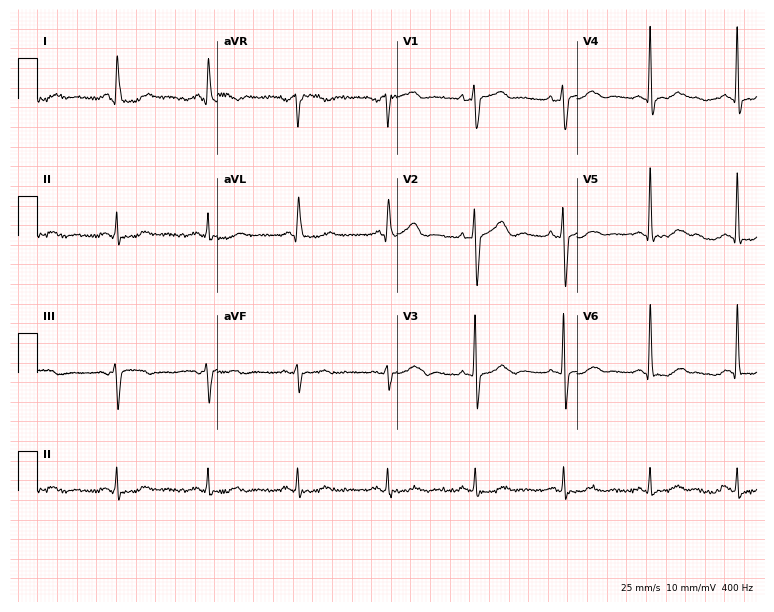
Standard 12-lead ECG recorded from a woman, 58 years old. None of these six findings is recorded: first-degree AV block, right bundle branch block (RBBB), left bundle branch block (LBBB), sinus bradycardia, atrial fibrillation (AF), sinus tachycardia. Only these six findings were labelled.